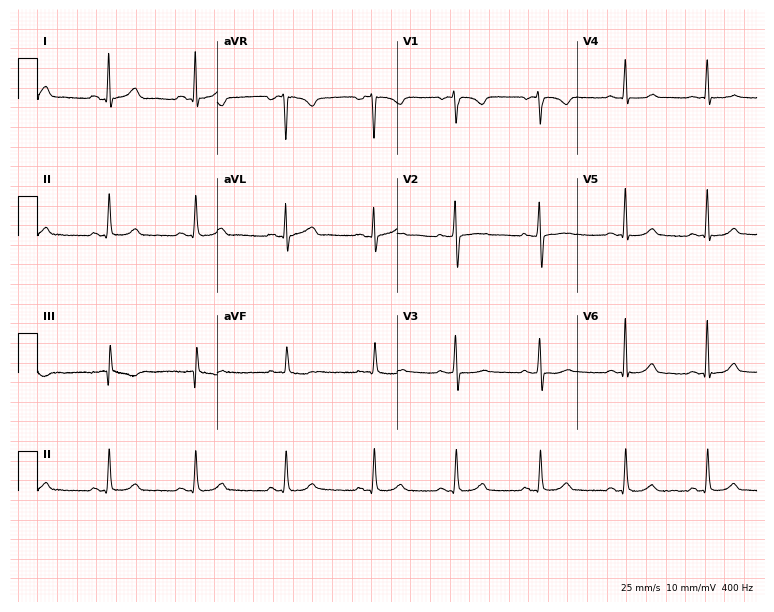
ECG (7.3-second recording at 400 Hz) — a female patient, 23 years old. Labelled as a normal ECG.